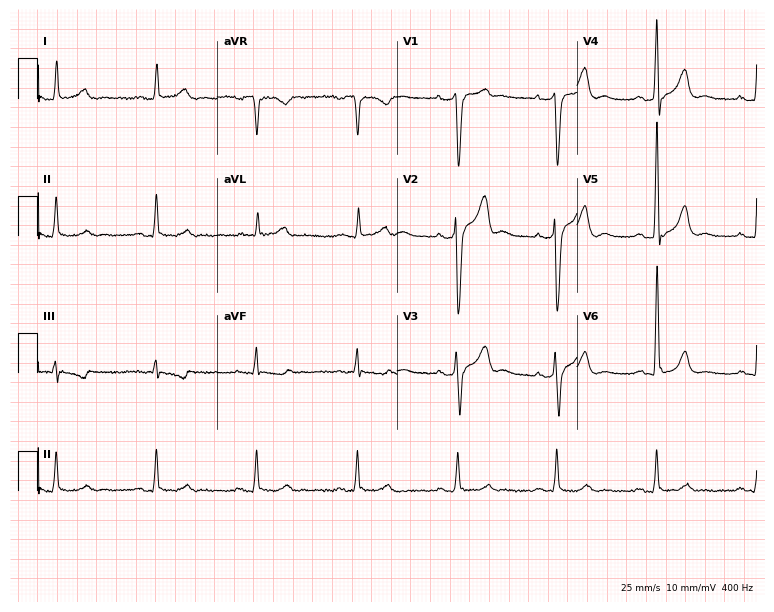
12-lead ECG from a 50-year-old male. No first-degree AV block, right bundle branch block, left bundle branch block, sinus bradycardia, atrial fibrillation or sinus tachycardia recorded for this tracing.